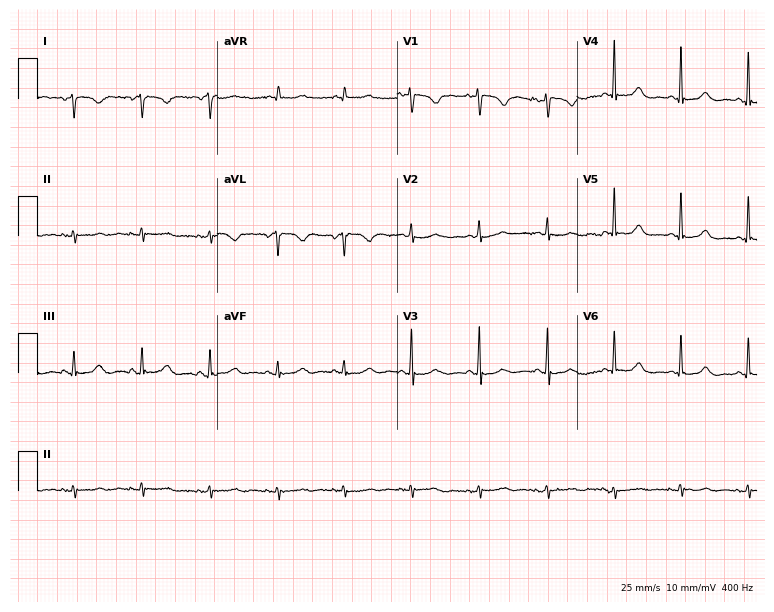
12-lead ECG from an 80-year-old female patient. Screened for six findings — first-degree AV block, right bundle branch block, left bundle branch block, sinus bradycardia, atrial fibrillation, sinus tachycardia — none is recorded. Findings outside these six are not listed.